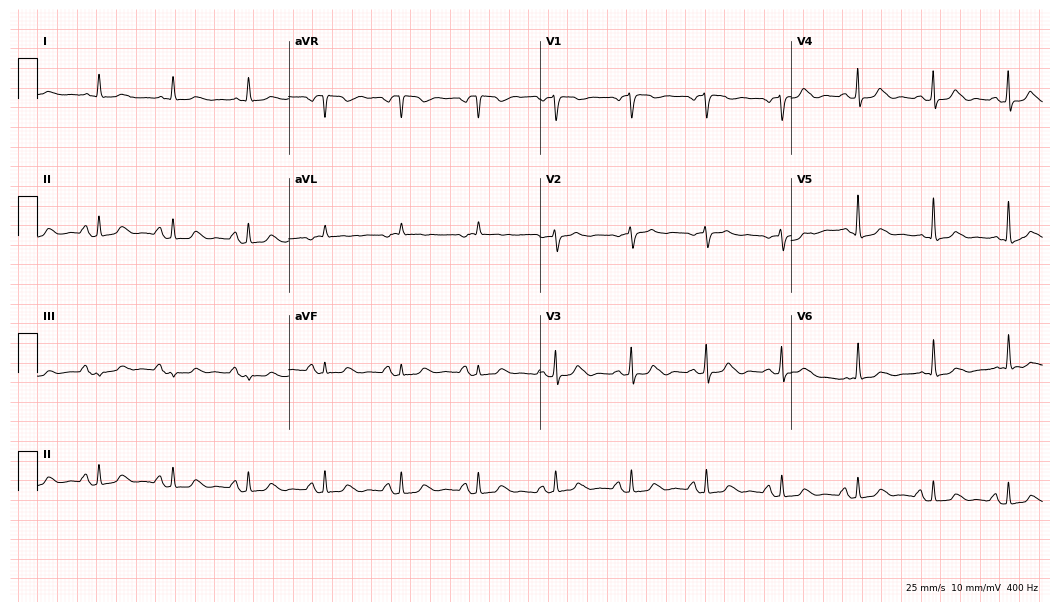
12-lead ECG from a woman, 77 years old (10.2-second recording at 400 Hz). Recorded interpretation: within normal limits.